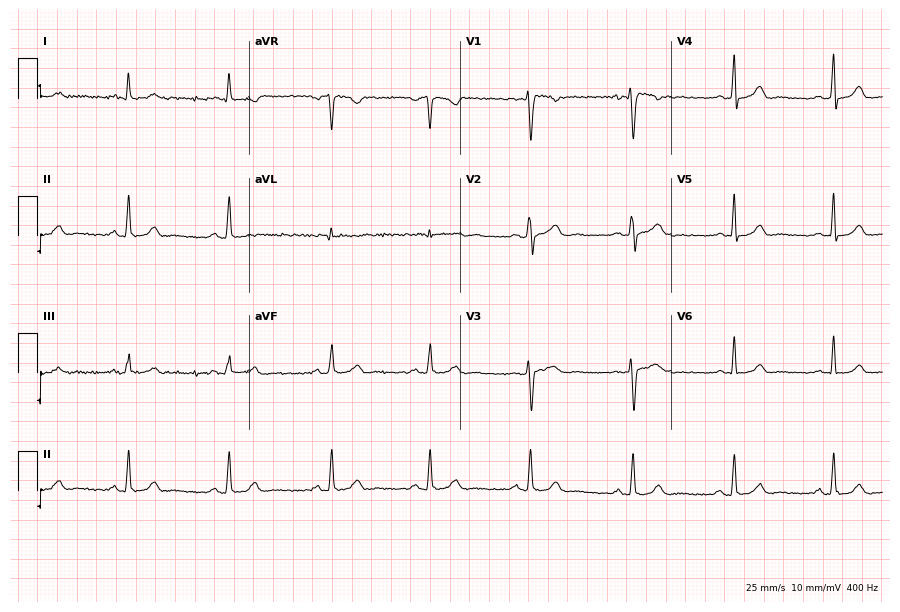
Electrocardiogram, a 36-year-old woman. Overall reading on record: normal ECG.